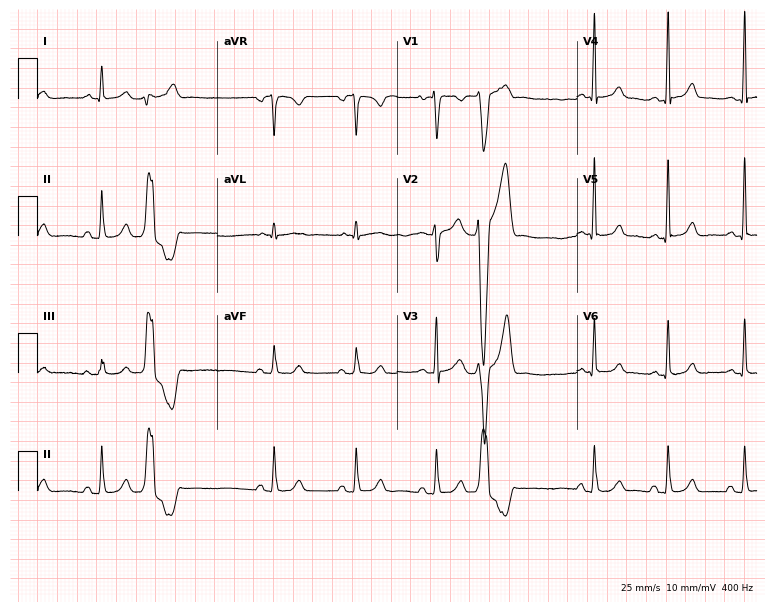
Resting 12-lead electrocardiogram (7.3-second recording at 400 Hz). Patient: a man, 26 years old. None of these six findings is recorded: first-degree AV block, right bundle branch block, left bundle branch block, sinus bradycardia, atrial fibrillation, sinus tachycardia. Findings outside these six are not listed.